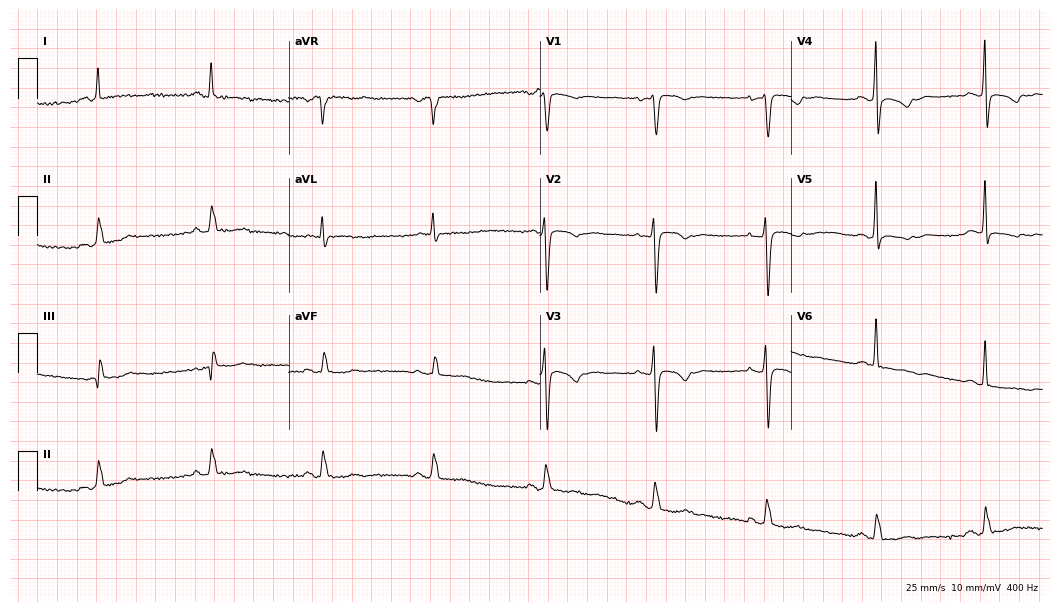
12-lead ECG from a female, 68 years old. Screened for six findings — first-degree AV block, right bundle branch block, left bundle branch block, sinus bradycardia, atrial fibrillation, sinus tachycardia — none is recorded.